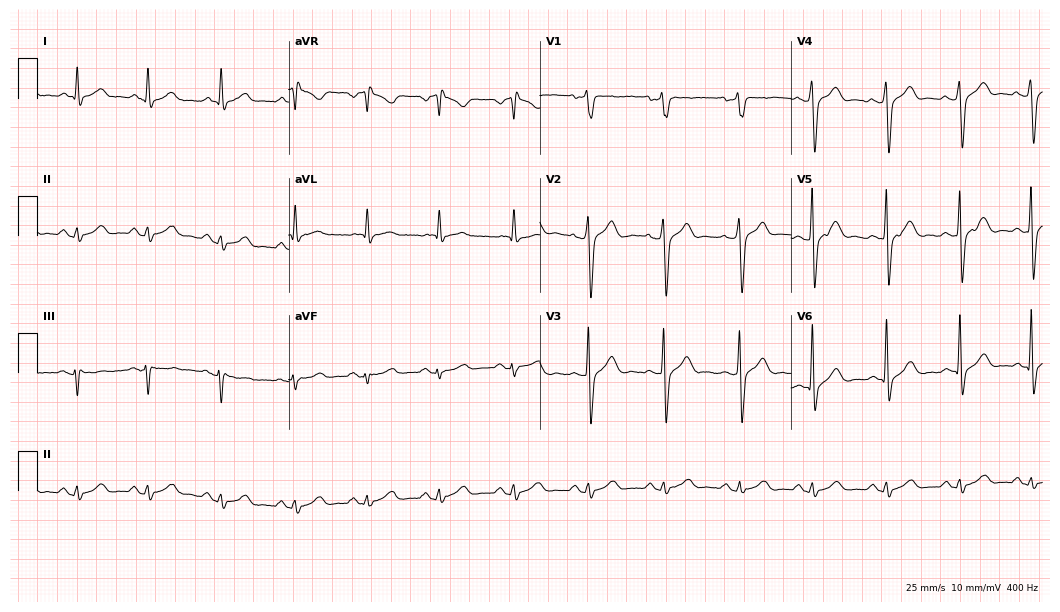
12-lead ECG (10.2-second recording at 400 Hz) from a man, 62 years old. Screened for six findings — first-degree AV block, right bundle branch block, left bundle branch block, sinus bradycardia, atrial fibrillation, sinus tachycardia — none is recorded.